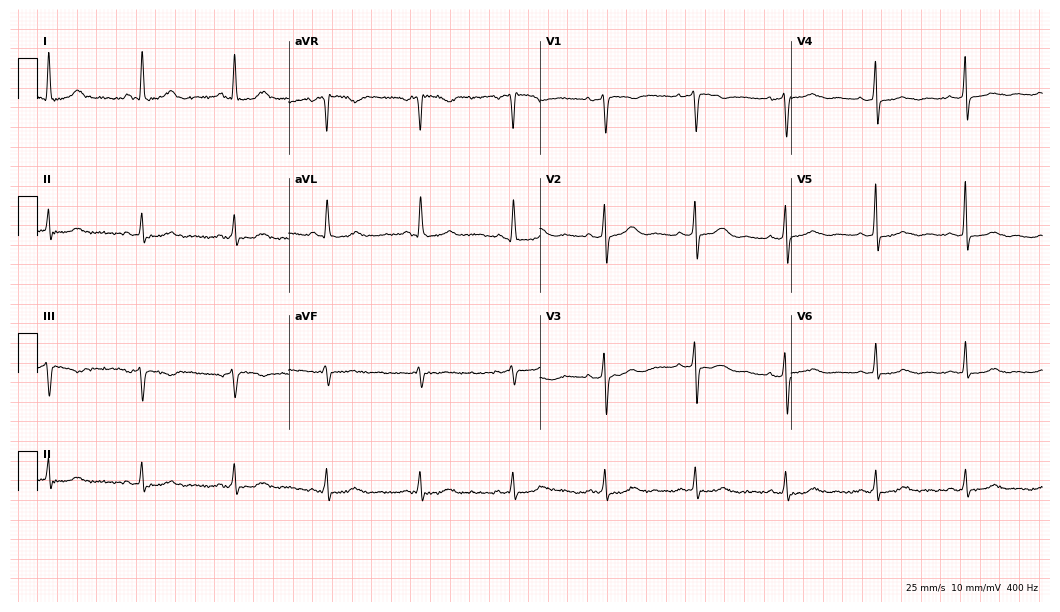
12-lead ECG from a female, 78 years old. No first-degree AV block, right bundle branch block (RBBB), left bundle branch block (LBBB), sinus bradycardia, atrial fibrillation (AF) or sinus tachycardia recorded for this tracing. Findings outside these six are not listed.